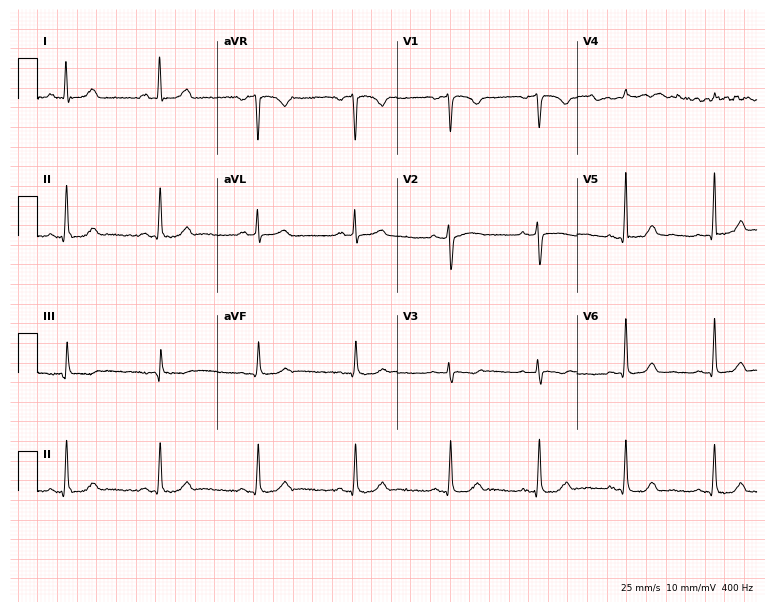
12-lead ECG from a 44-year-old female (7.3-second recording at 400 Hz). Recorded interpretation: within normal limits.